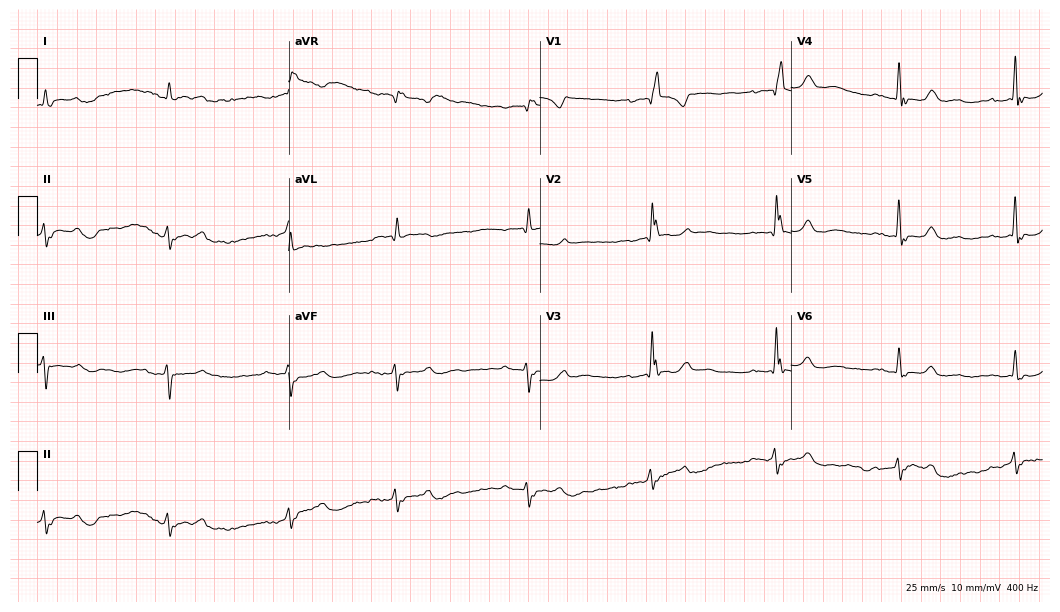
ECG (10.2-second recording at 400 Hz) — a male, 84 years old. Findings include first-degree AV block, right bundle branch block (RBBB), sinus bradycardia (a sinus rate of 50 beats per minute or less).